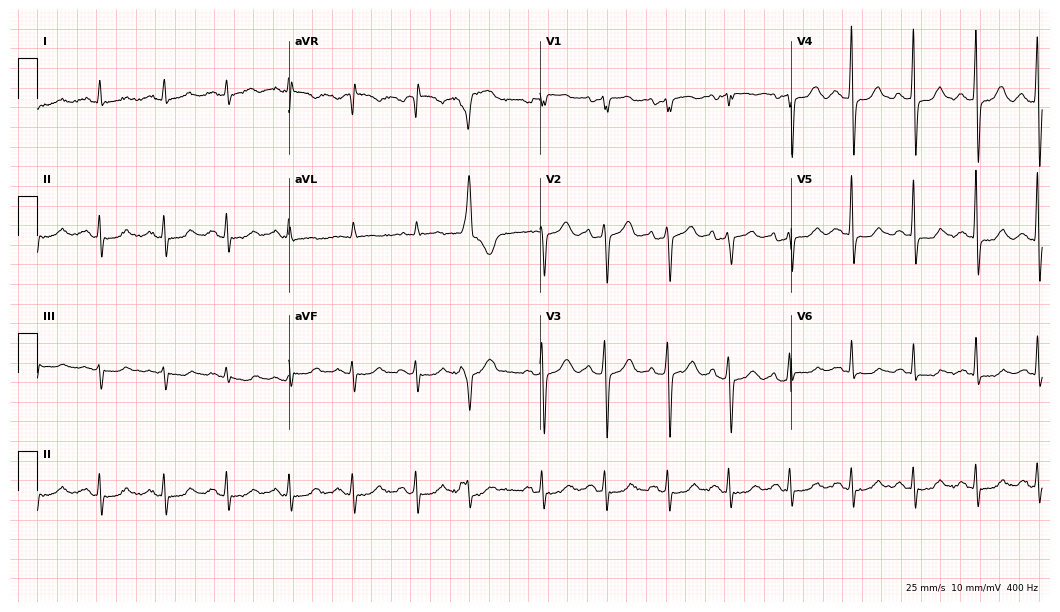
Resting 12-lead electrocardiogram. Patient: a 69-year-old male. None of these six findings is recorded: first-degree AV block, right bundle branch block, left bundle branch block, sinus bradycardia, atrial fibrillation, sinus tachycardia. Only these six findings were labelled.